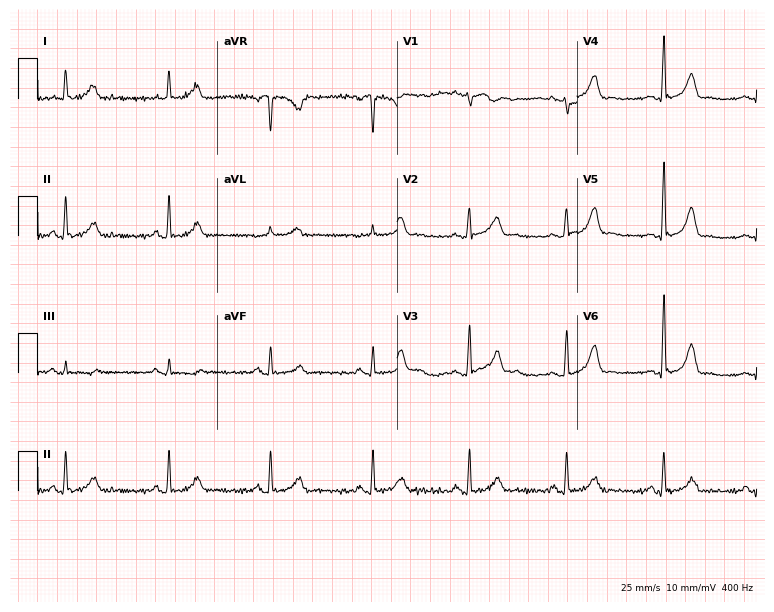
Standard 12-lead ECG recorded from a female patient, 48 years old. Read as a normal ECG.